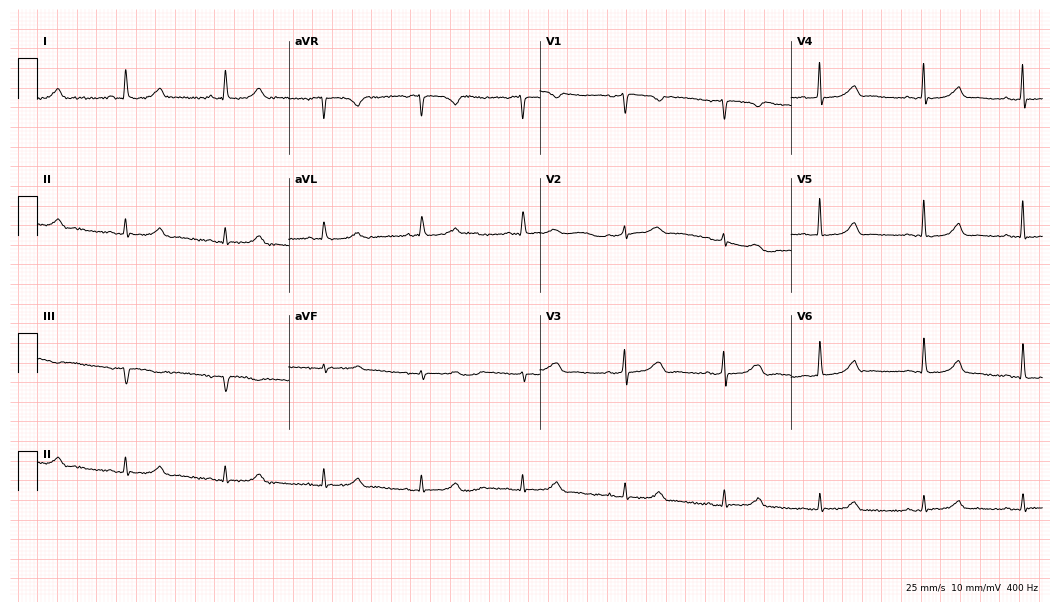
Resting 12-lead electrocardiogram. Patient: a 68-year-old woman. Read as a normal ECG.